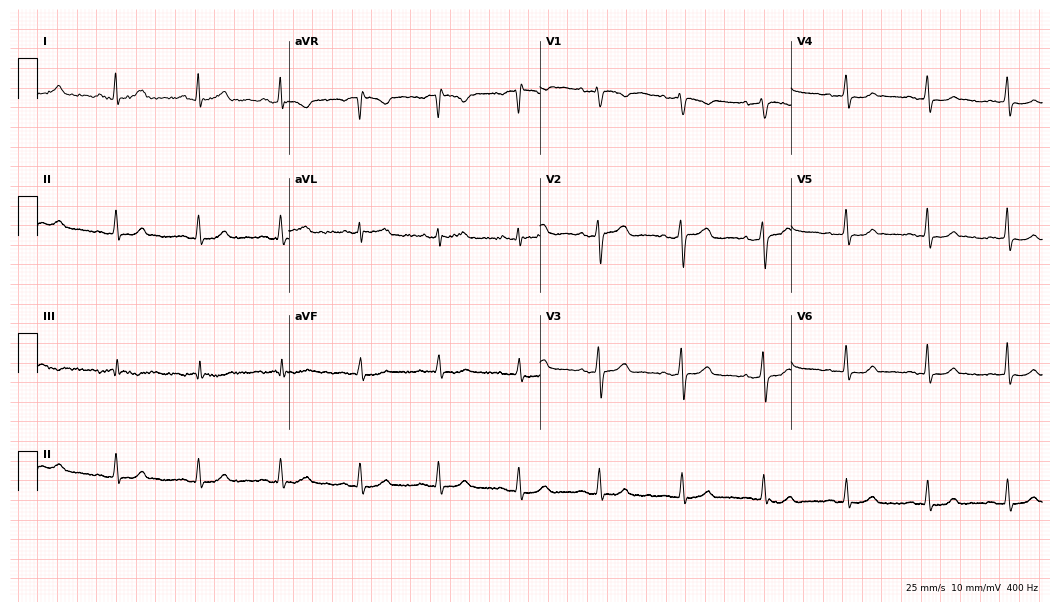
12-lead ECG from a 55-year-old woman. Labelled as a normal ECG.